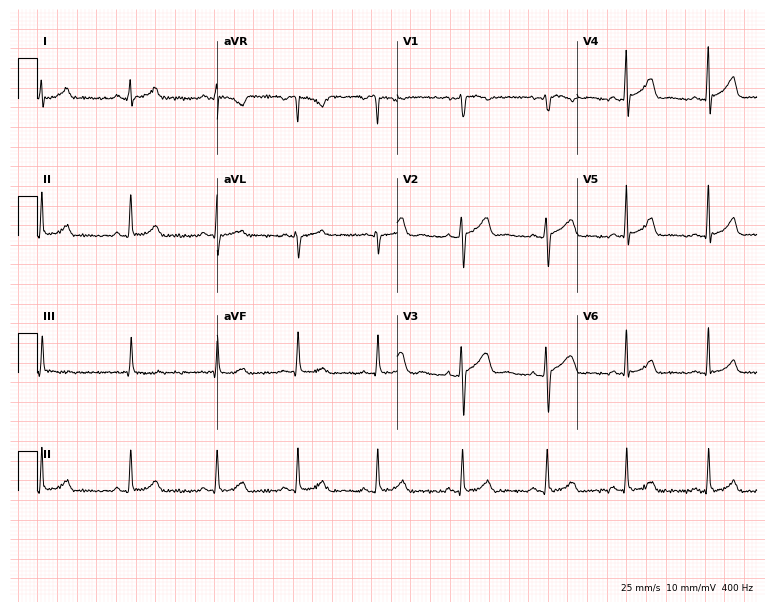
Resting 12-lead electrocardiogram. Patient: a female, 27 years old. Read as a normal ECG.